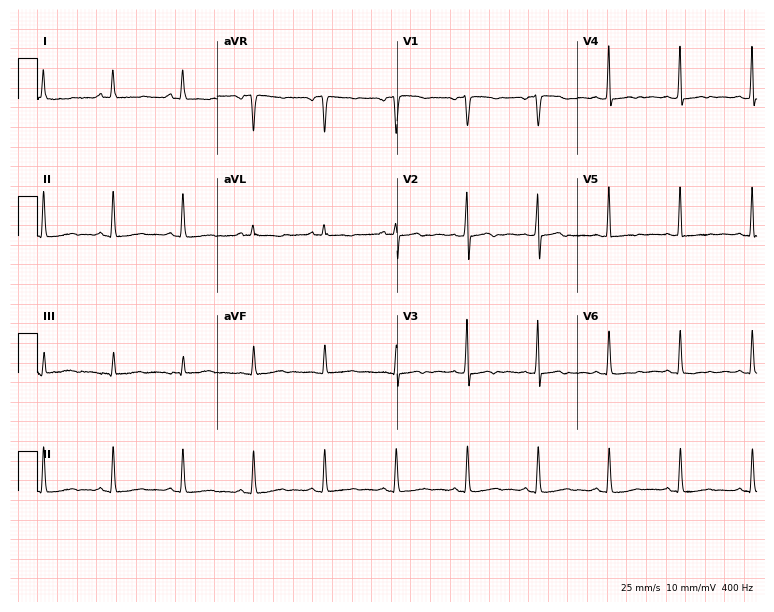
Resting 12-lead electrocardiogram (7.3-second recording at 400 Hz). Patient: a 47-year-old female. None of these six findings is recorded: first-degree AV block, right bundle branch block (RBBB), left bundle branch block (LBBB), sinus bradycardia, atrial fibrillation (AF), sinus tachycardia.